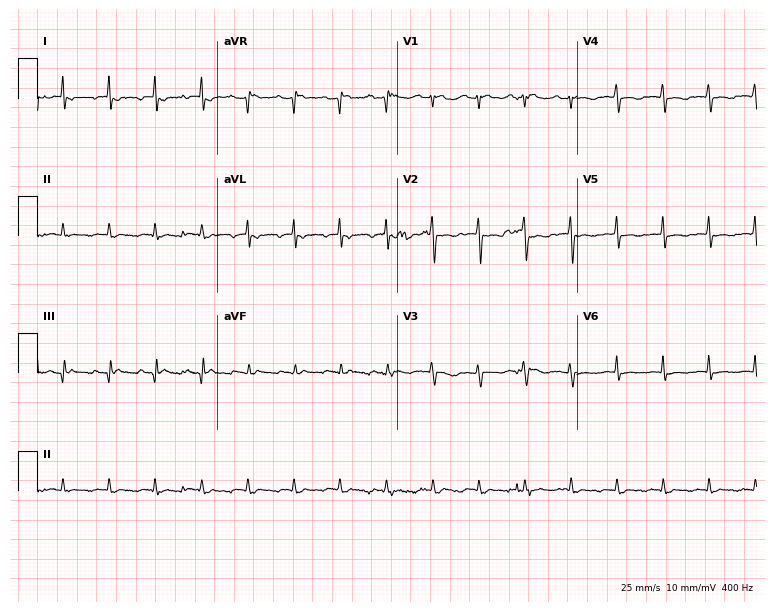
ECG (7.3-second recording at 400 Hz) — a female patient, 38 years old. Screened for six findings — first-degree AV block, right bundle branch block, left bundle branch block, sinus bradycardia, atrial fibrillation, sinus tachycardia — none is recorded.